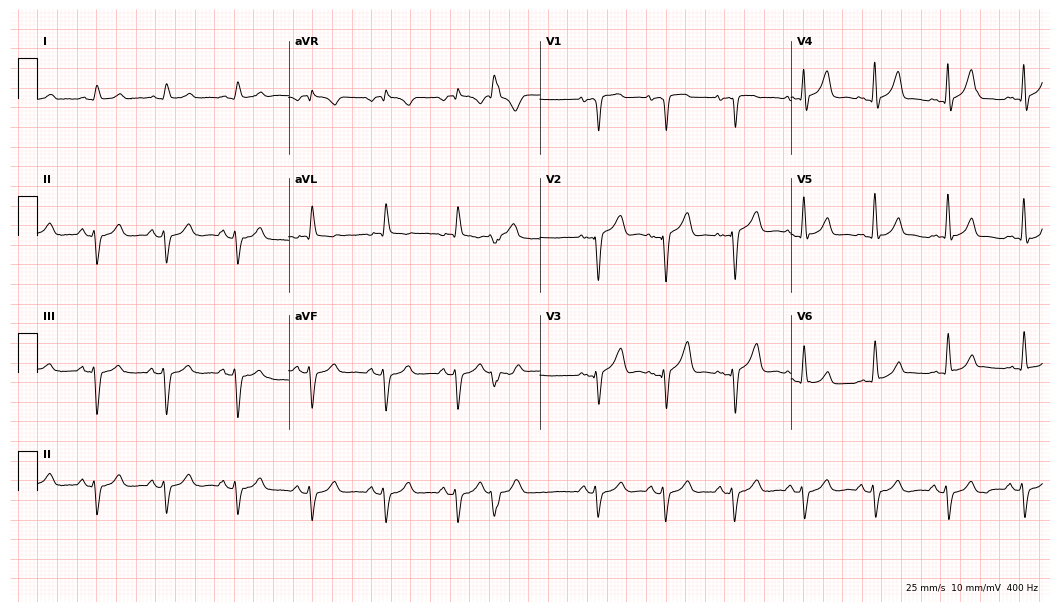
Electrocardiogram, a man, 71 years old. Of the six screened findings (first-degree AV block, right bundle branch block (RBBB), left bundle branch block (LBBB), sinus bradycardia, atrial fibrillation (AF), sinus tachycardia), none is recorded.